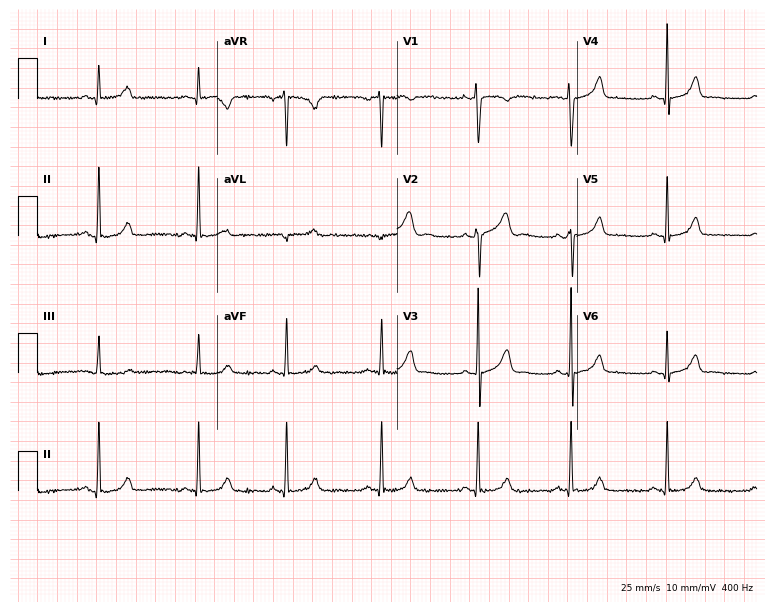
ECG — an 18-year-old woman. Labelled as a normal ECG.